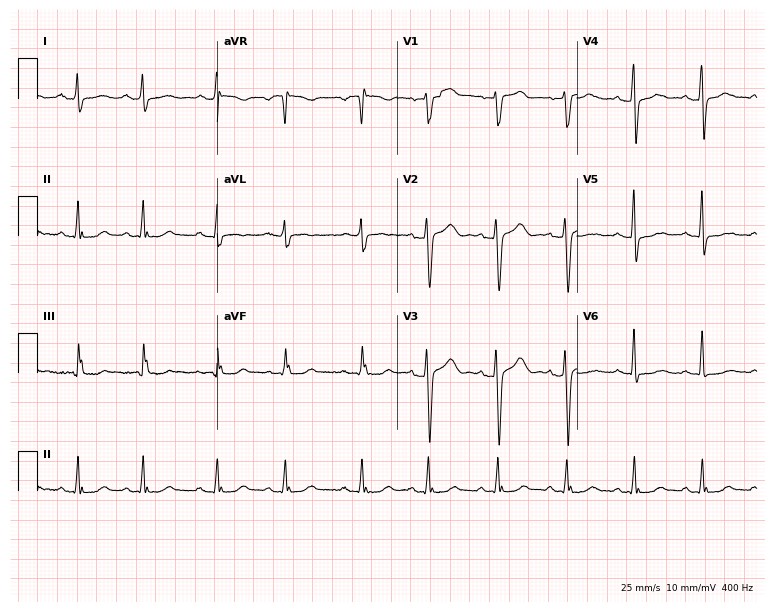
12-lead ECG from a female patient, 56 years old (7.3-second recording at 400 Hz). Recorded interpretation: within normal limits.